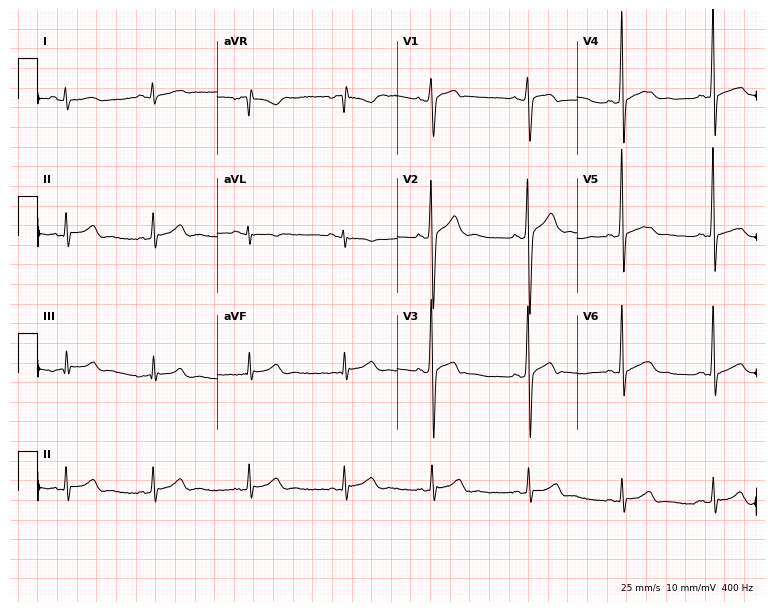
Electrocardiogram, a male, 20 years old. Of the six screened findings (first-degree AV block, right bundle branch block, left bundle branch block, sinus bradycardia, atrial fibrillation, sinus tachycardia), none is recorded.